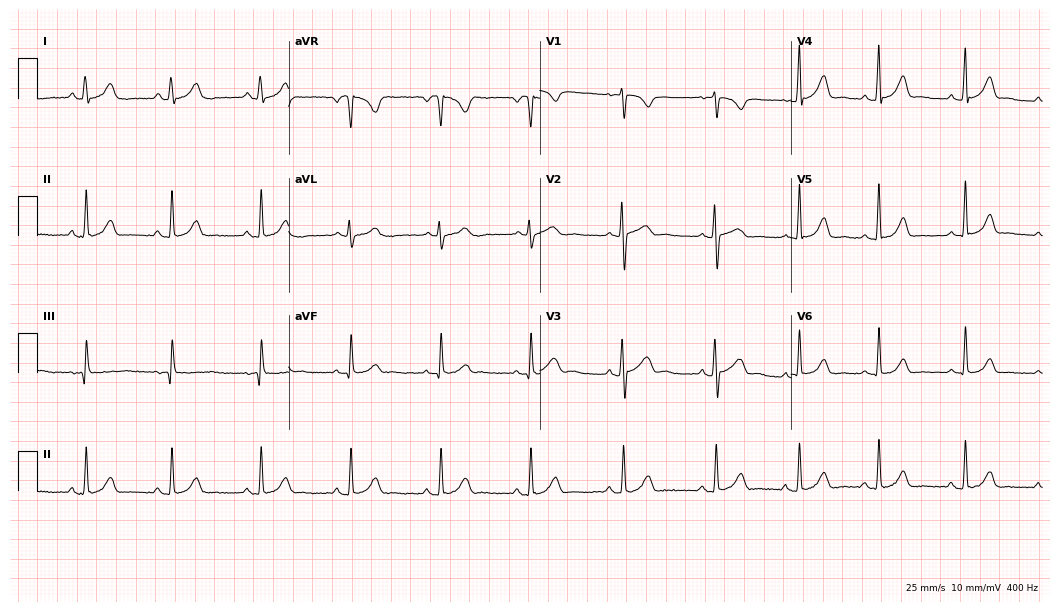
Standard 12-lead ECG recorded from a 20-year-old female patient (10.2-second recording at 400 Hz). Read as a normal ECG.